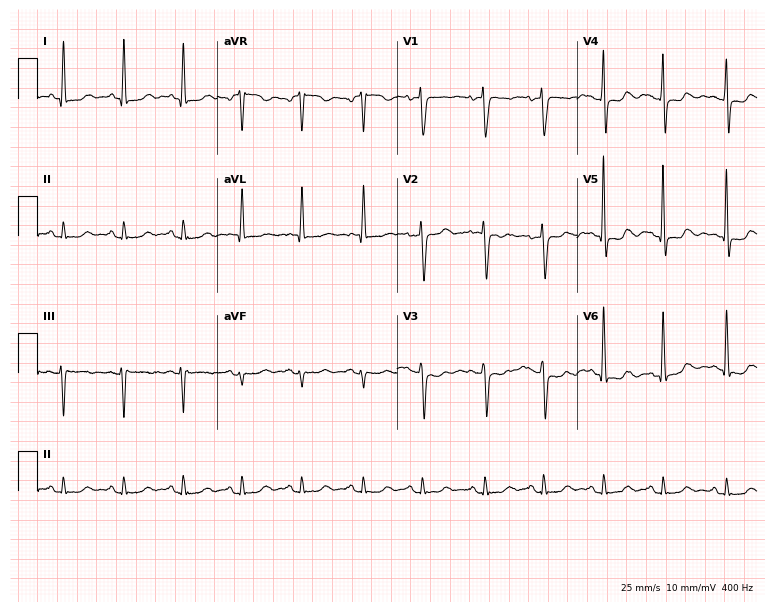
12-lead ECG (7.3-second recording at 400 Hz) from a woman, 75 years old. Screened for six findings — first-degree AV block, right bundle branch block, left bundle branch block, sinus bradycardia, atrial fibrillation, sinus tachycardia — none is recorded. Other findings, if any, are not listed.